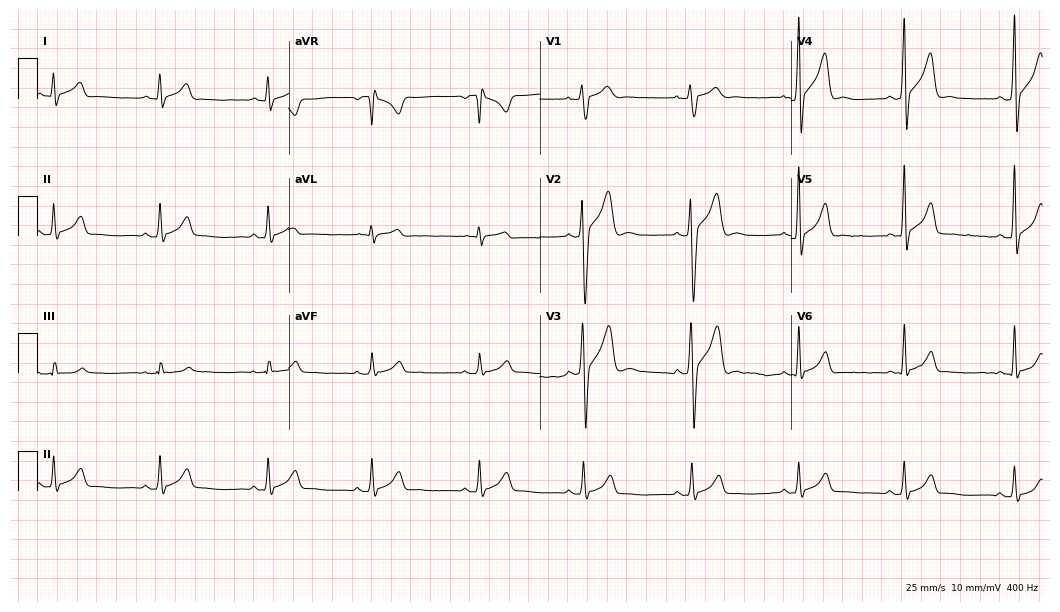
12-lead ECG (10.2-second recording at 400 Hz) from a 33-year-old male patient. Labelled as a normal ECG.